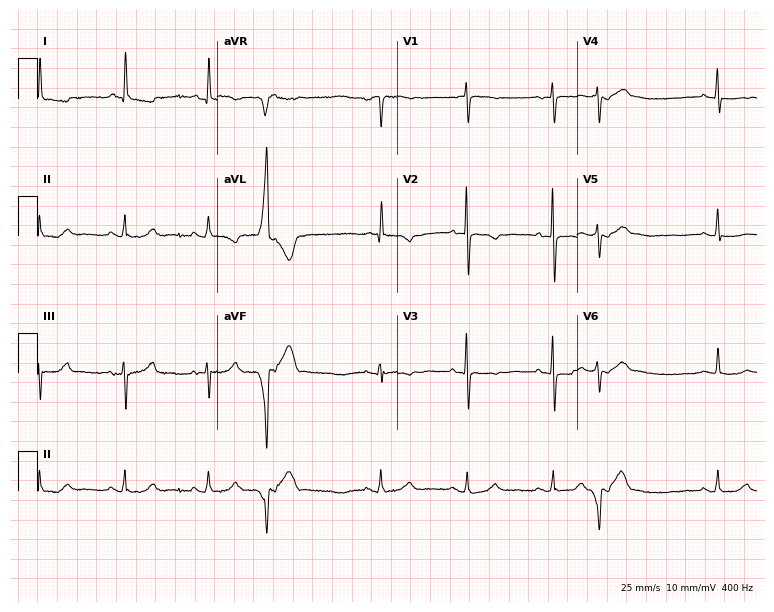
Resting 12-lead electrocardiogram (7.3-second recording at 400 Hz). Patient: a female, 81 years old. None of these six findings is recorded: first-degree AV block, right bundle branch block, left bundle branch block, sinus bradycardia, atrial fibrillation, sinus tachycardia.